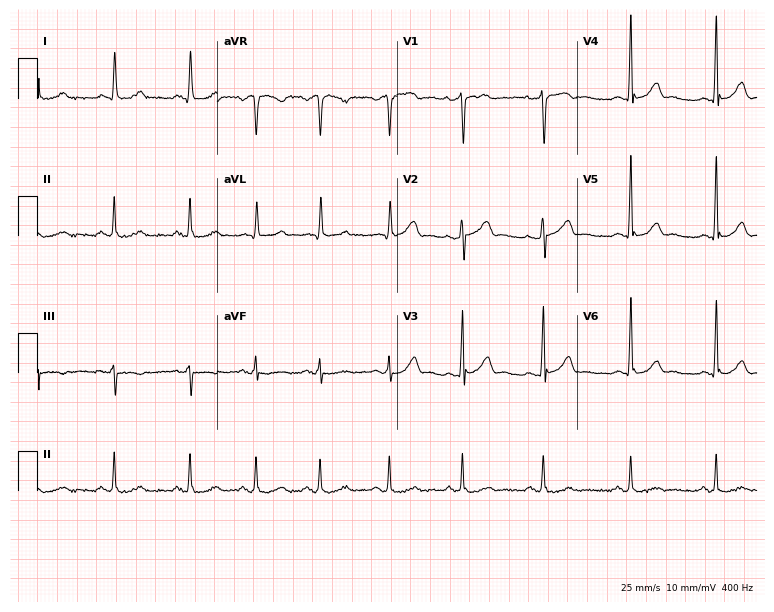
ECG (7.3-second recording at 400 Hz) — a 58-year-old female. Screened for six findings — first-degree AV block, right bundle branch block, left bundle branch block, sinus bradycardia, atrial fibrillation, sinus tachycardia — none is recorded. Only these six findings were labelled.